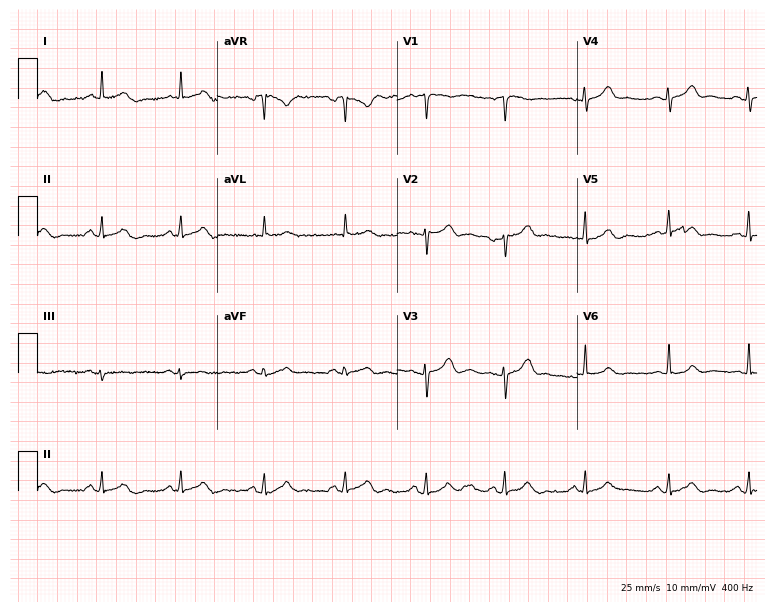
Resting 12-lead electrocardiogram. Patient: a 55-year-old female. Read as a normal ECG.